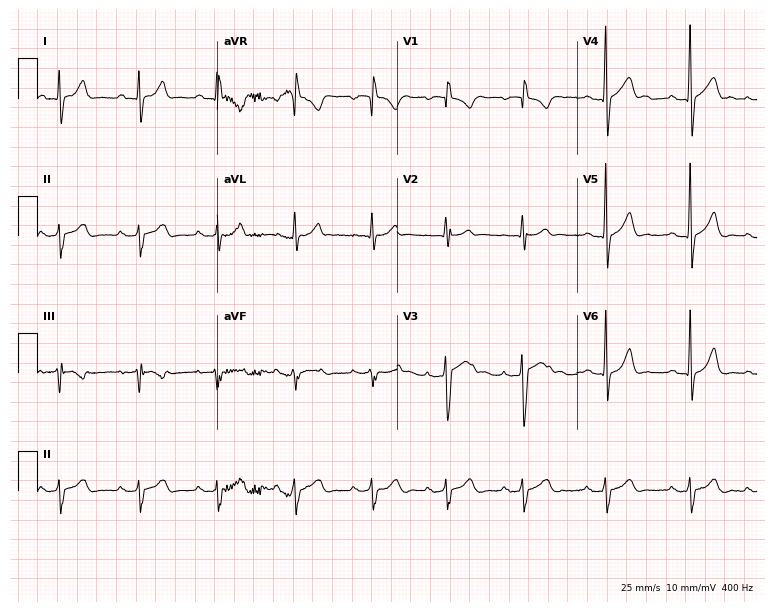
Electrocardiogram (7.3-second recording at 400 Hz), a 19-year-old male. Of the six screened findings (first-degree AV block, right bundle branch block (RBBB), left bundle branch block (LBBB), sinus bradycardia, atrial fibrillation (AF), sinus tachycardia), none is recorded.